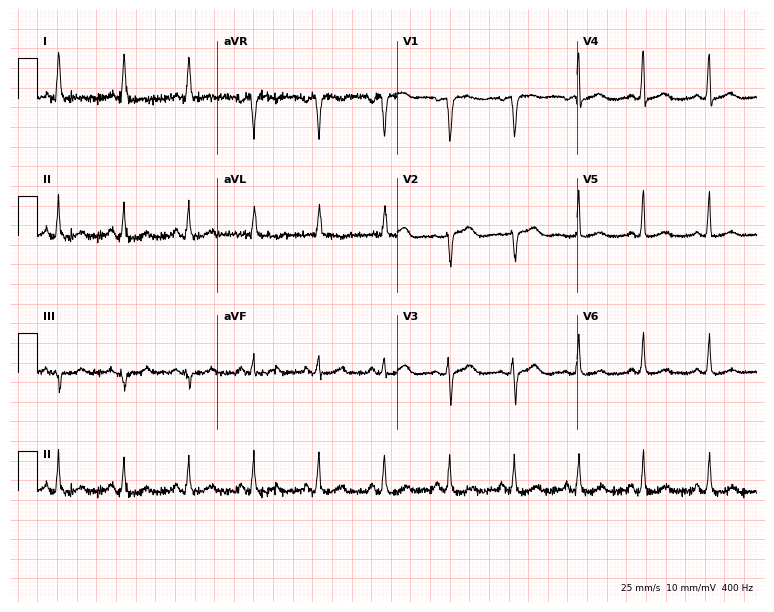
ECG — a female, 69 years old. Screened for six findings — first-degree AV block, right bundle branch block, left bundle branch block, sinus bradycardia, atrial fibrillation, sinus tachycardia — none is recorded.